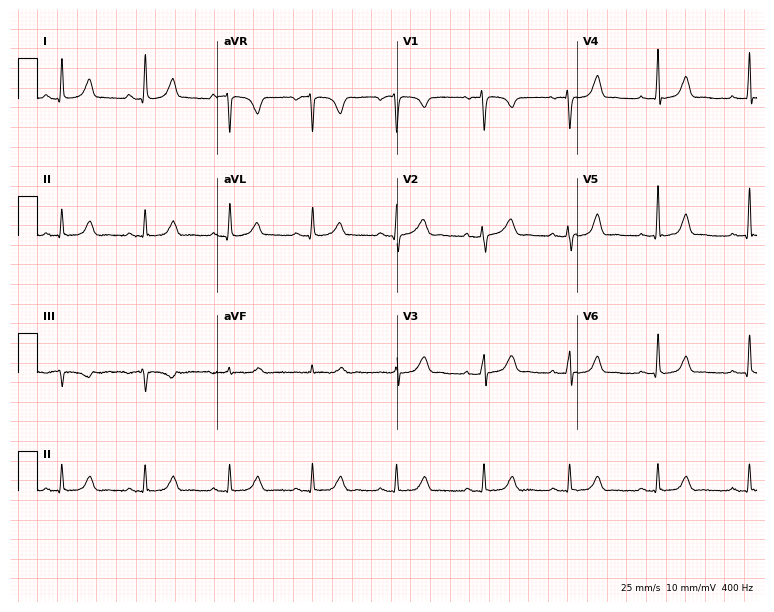
Electrocardiogram (7.3-second recording at 400 Hz), a female patient, 37 years old. Overall reading on record: normal ECG.